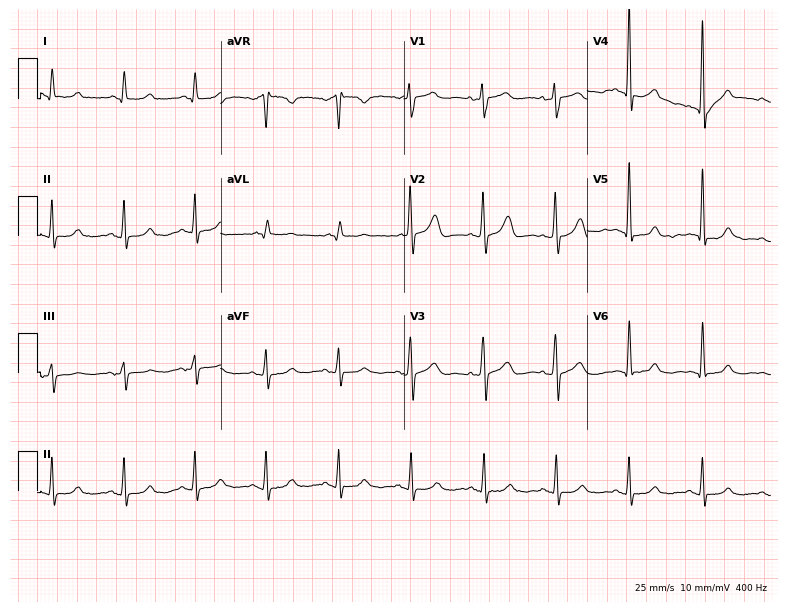
Electrocardiogram, an 81-year-old woman. Overall reading on record: normal ECG.